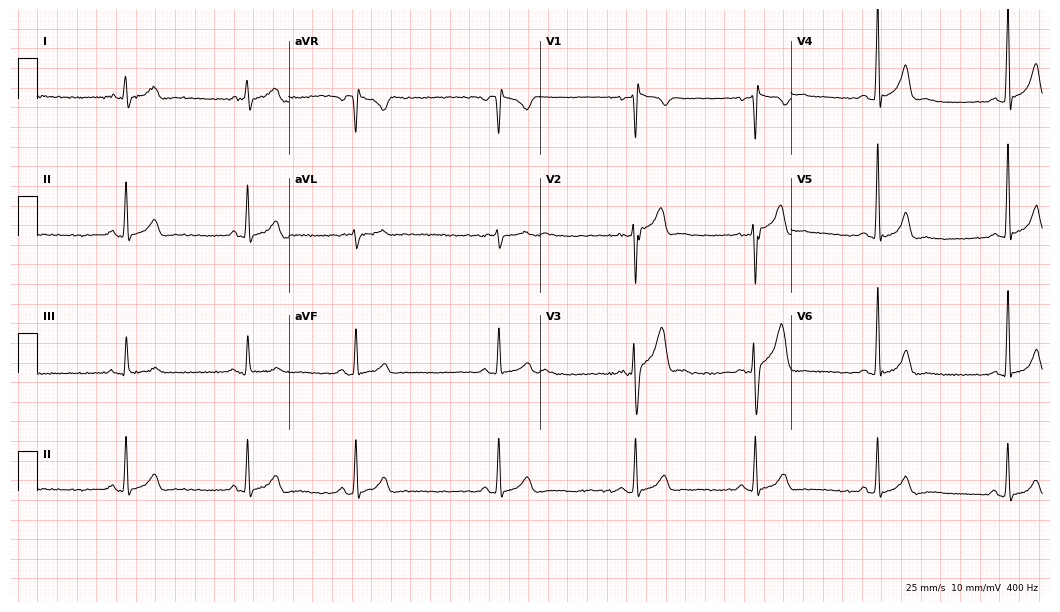
Electrocardiogram, a 34-year-old male. Overall reading on record: normal ECG.